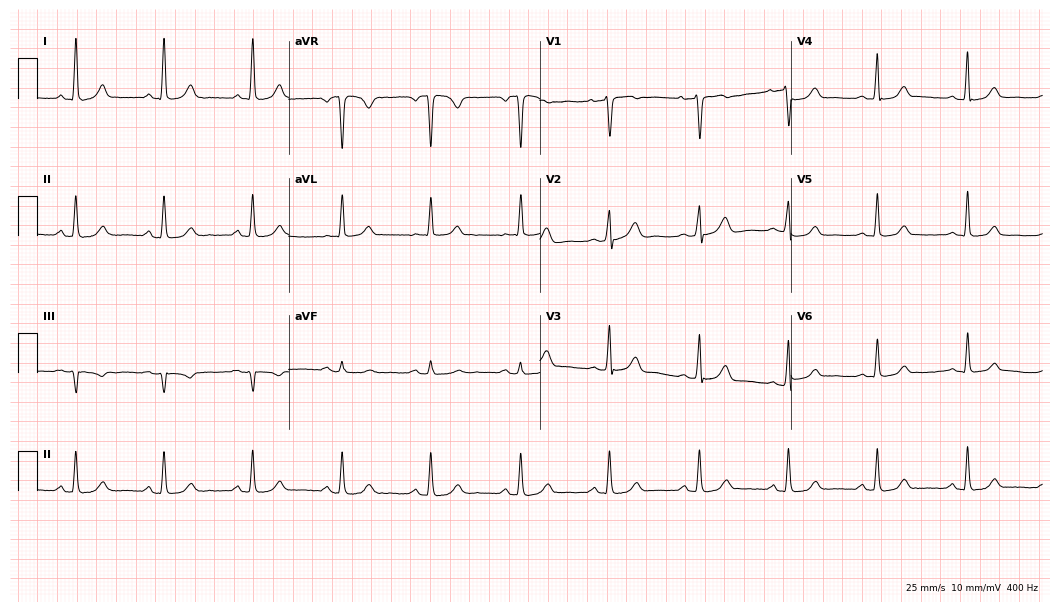
12-lead ECG from a woman, 54 years old. Labelled as a normal ECG.